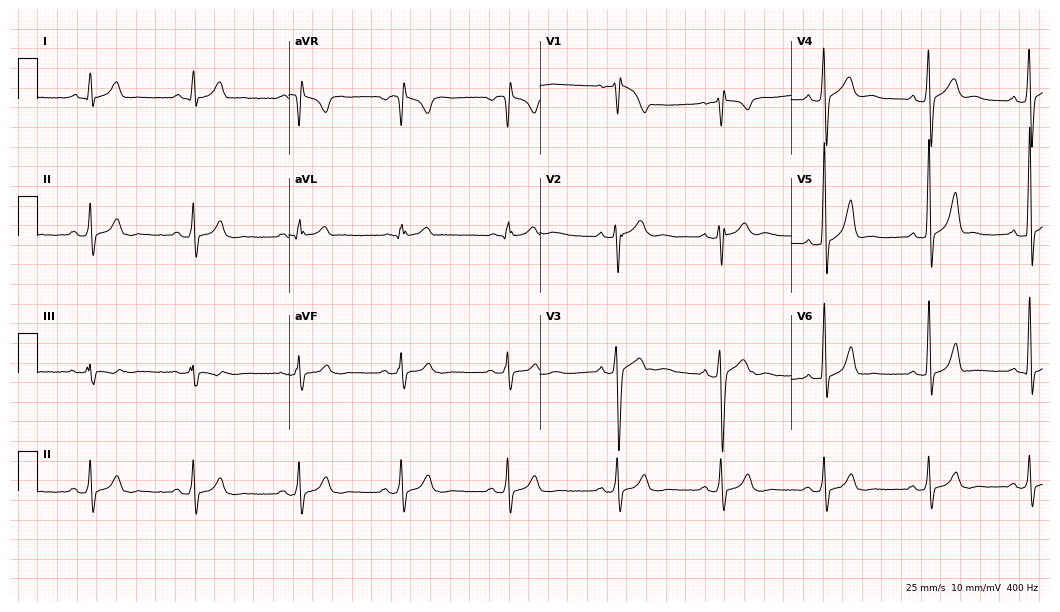
12-lead ECG from a male, 36 years old. Recorded interpretation: within normal limits.